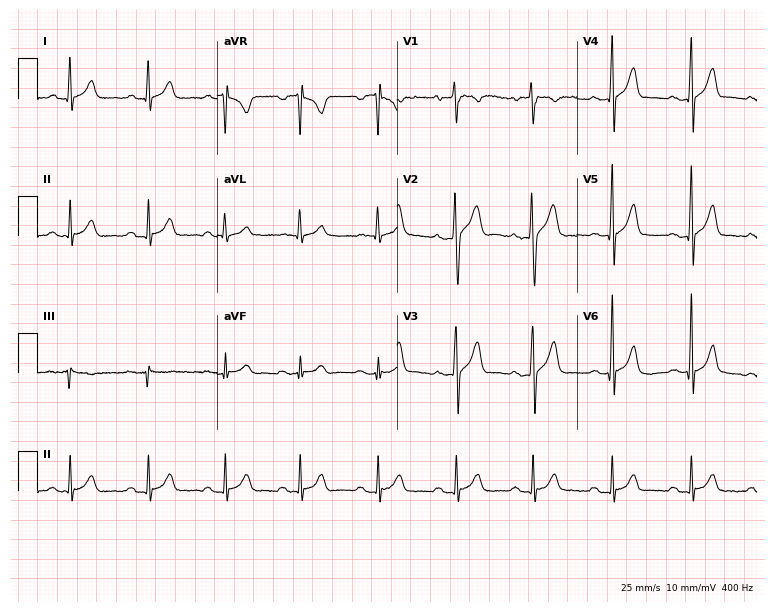
ECG — a 31-year-old male. Screened for six findings — first-degree AV block, right bundle branch block, left bundle branch block, sinus bradycardia, atrial fibrillation, sinus tachycardia — none is recorded.